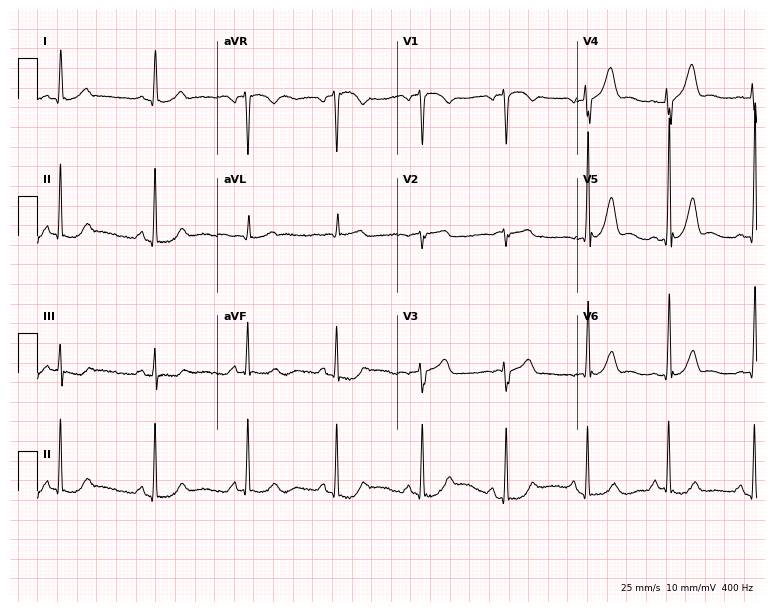
ECG (7.3-second recording at 400 Hz) — a male, 60 years old. Labelled as a normal ECG.